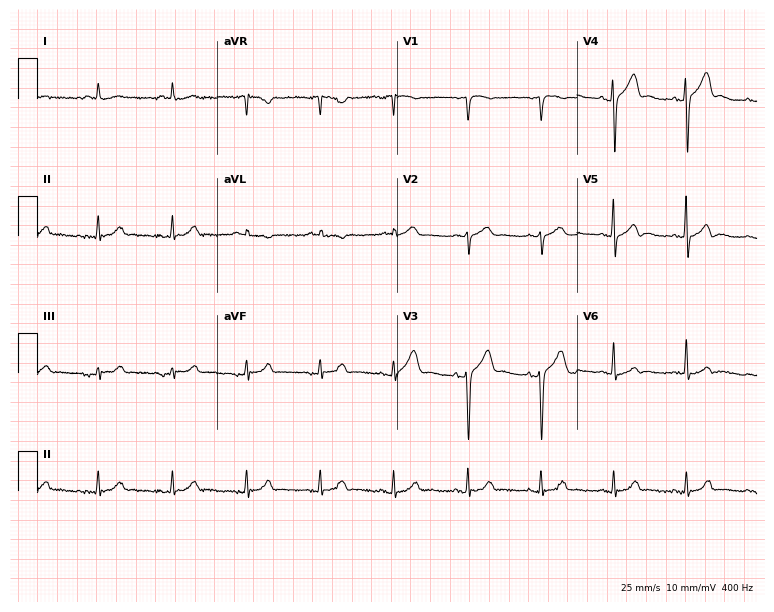
Resting 12-lead electrocardiogram (7.3-second recording at 400 Hz). Patient: a man, 75 years old. Read as a normal ECG.